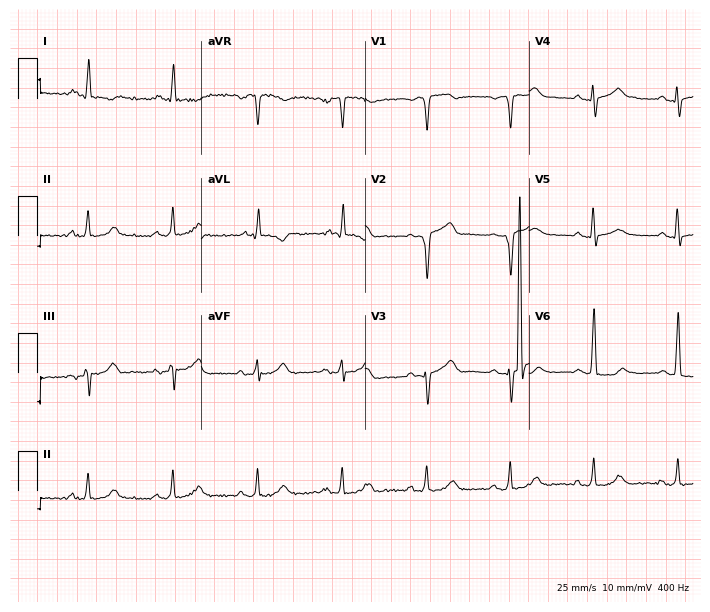
Electrocardiogram, a 67-year-old male patient. Of the six screened findings (first-degree AV block, right bundle branch block (RBBB), left bundle branch block (LBBB), sinus bradycardia, atrial fibrillation (AF), sinus tachycardia), none is recorded. Only these six findings were labelled.